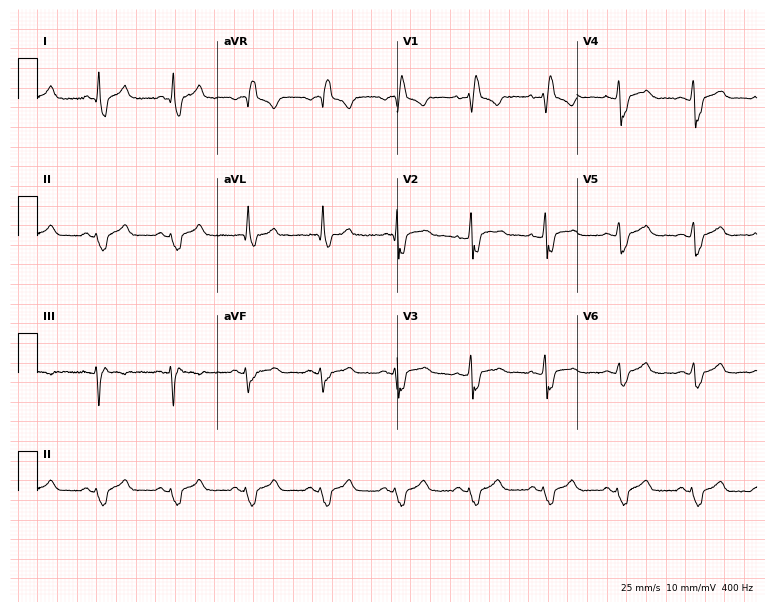
Electrocardiogram (7.3-second recording at 400 Hz), a male patient, 31 years old. Interpretation includes right bundle branch block.